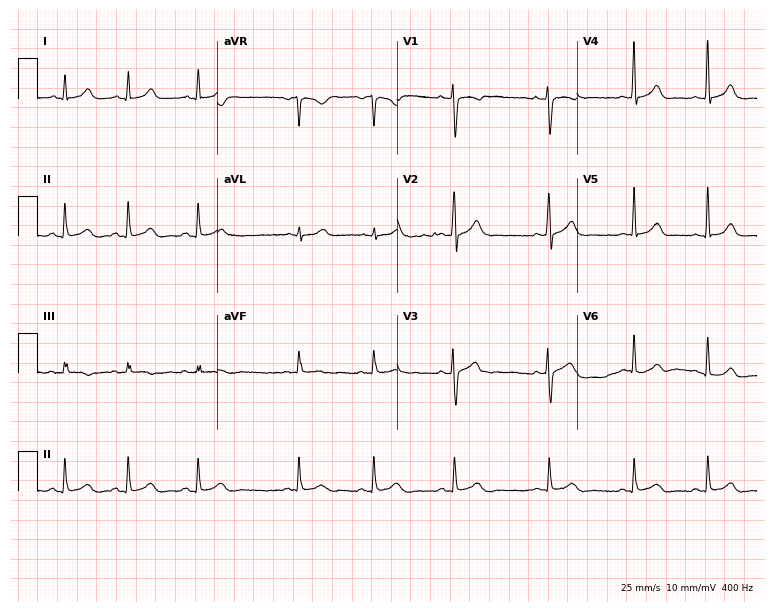
Standard 12-lead ECG recorded from a 24-year-old woman. Read as a normal ECG.